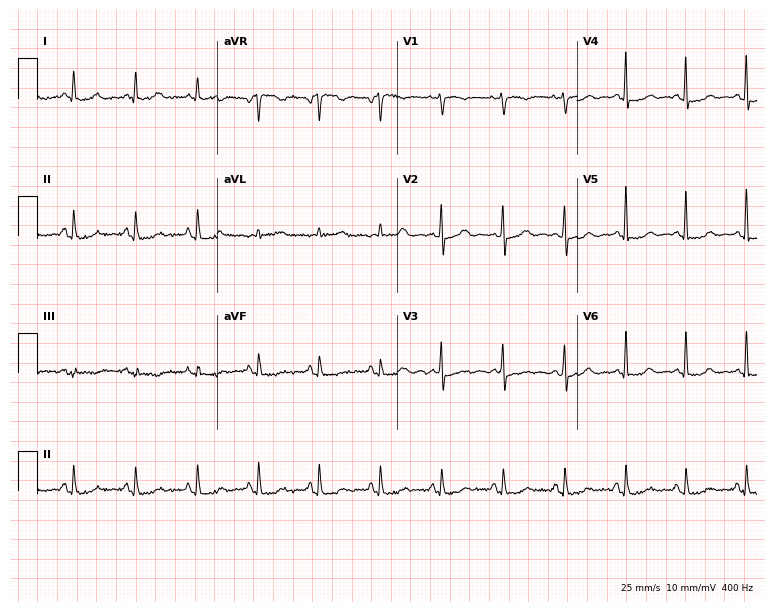
Resting 12-lead electrocardiogram (7.3-second recording at 400 Hz). Patient: a 60-year-old female. None of these six findings is recorded: first-degree AV block, right bundle branch block (RBBB), left bundle branch block (LBBB), sinus bradycardia, atrial fibrillation (AF), sinus tachycardia. Findings outside these six are not listed.